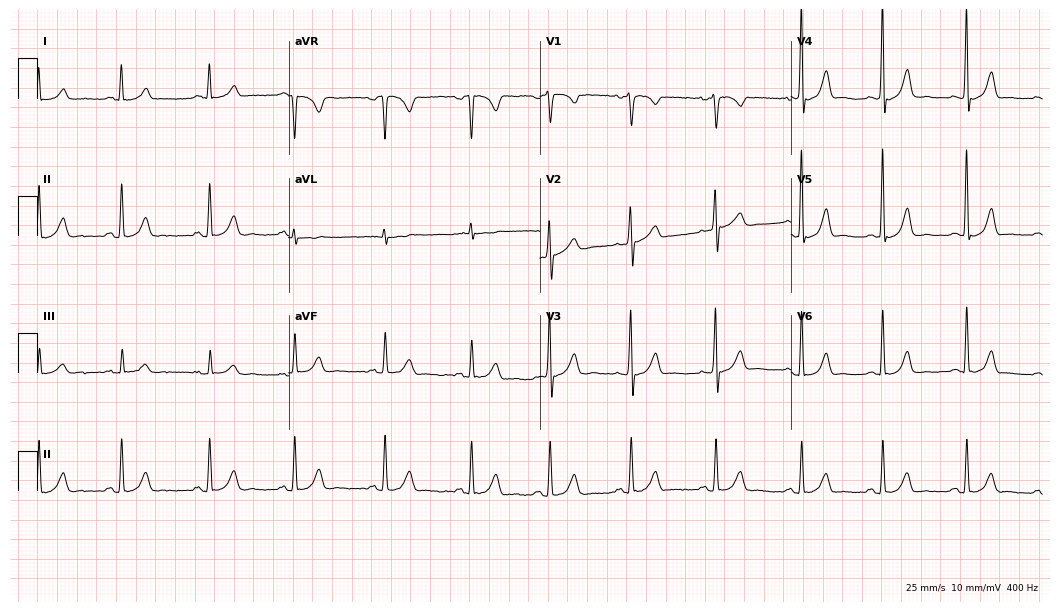
12-lead ECG (10.2-second recording at 400 Hz) from a 39-year-old female patient. Labelled as a normal ECG.